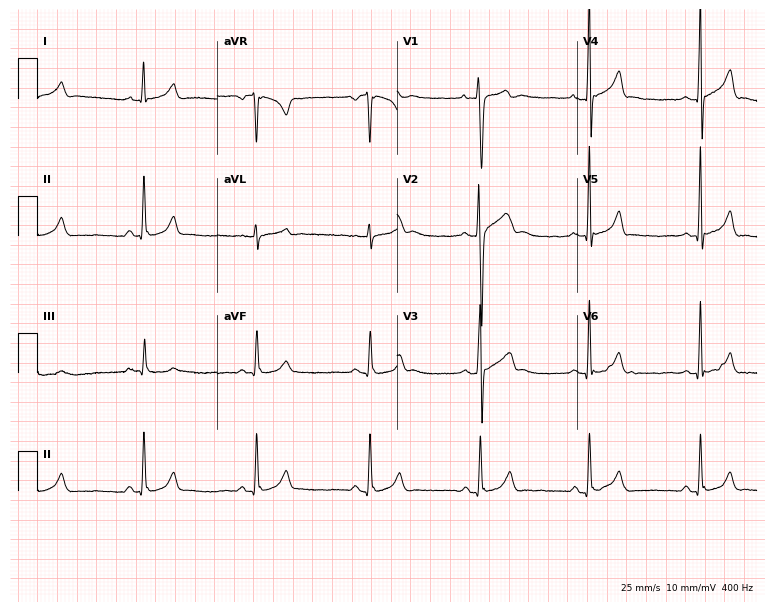
Resting 12-lead electrocardiogram. Patient: a 20-year-old man. Read as a normal ECG.